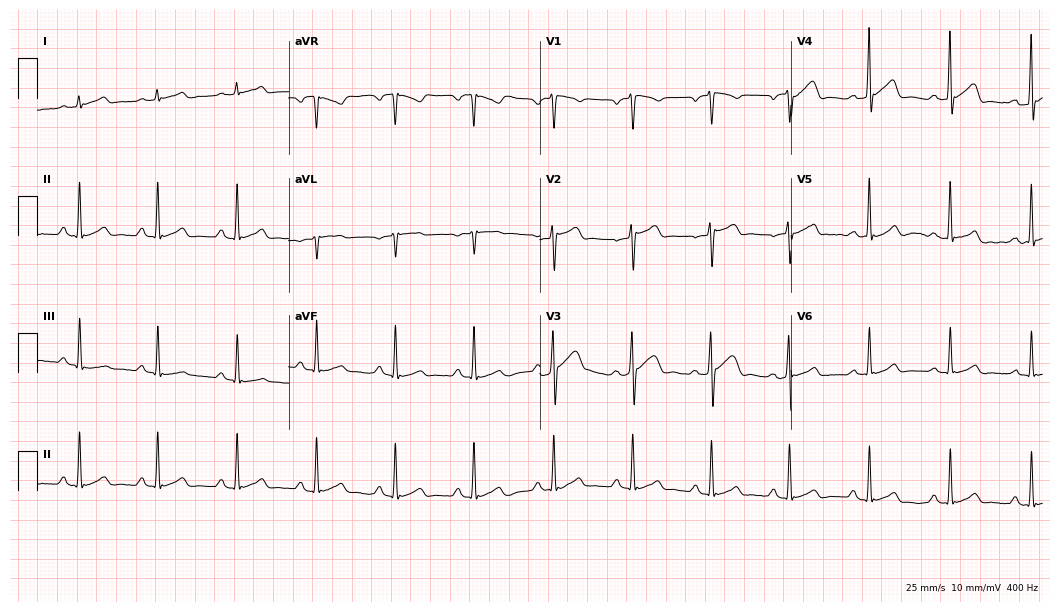
12-lead ECG (10.2-second recording at 400 Hz) from a 54-year-old man. Labelled as a normal ECG.